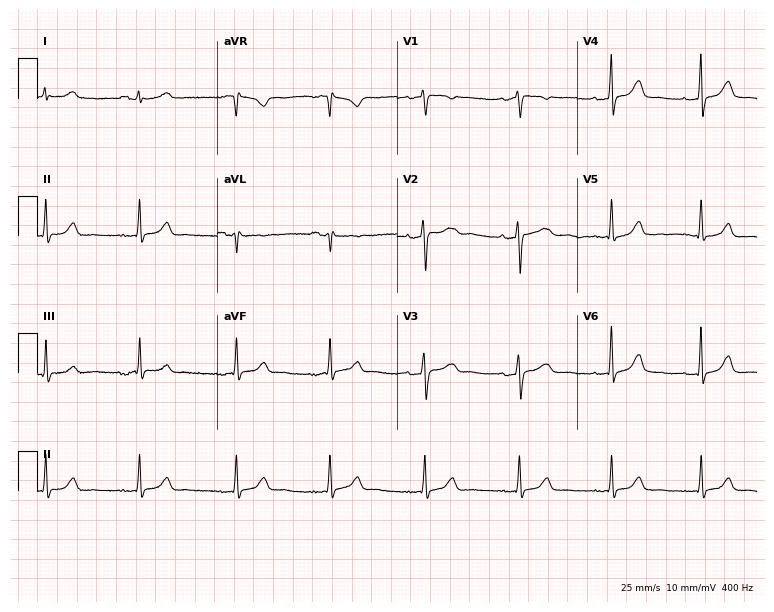
Standard 12-lead ECG recorded from a female patient, 38 years old (7.3-second recording at 400 Hz). Read as a normal ECG.